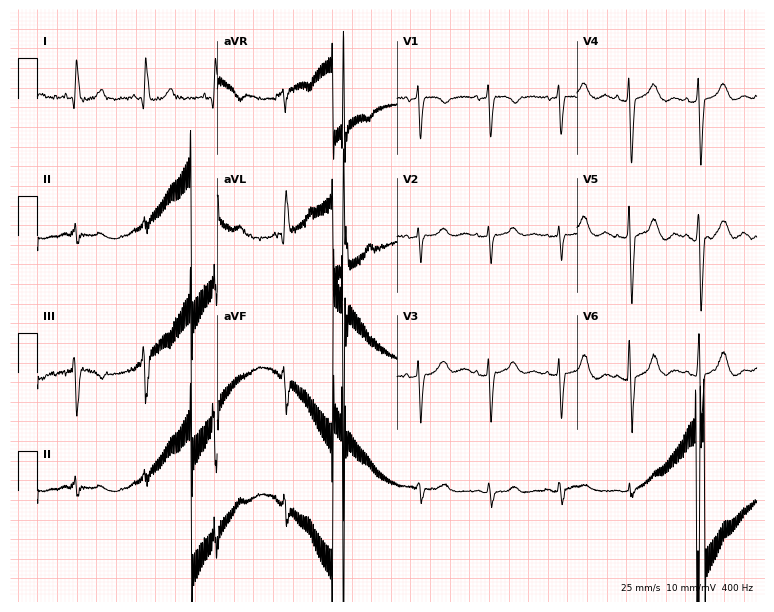
Standard 12-lead ECG recorded from an 82-year-old female patient (7.3-second recording at 400 Hz). None of these six findings is recorded: first-degree AV block, right bundle branch block (RBBB), left bundle branch block (LBBB), sinus bradycardia, atrial fibrillation (AF), sinus tachycardia. Other findings, if any, are not listed.